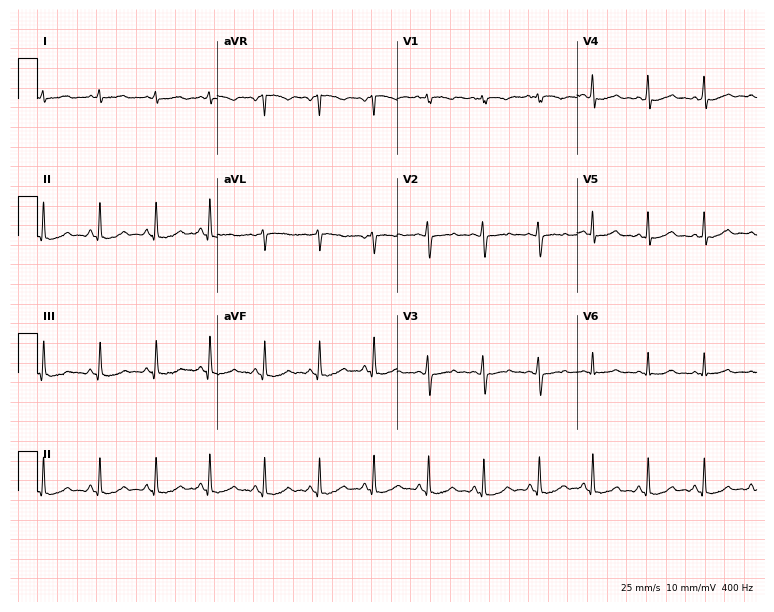
Standard 12-lead ECG recorded from a woman, 20 years old (7.3-second recording at 400 Hz). The tracing shows sinus tachycardia (a sinus rate of 100 beats per minute or more).